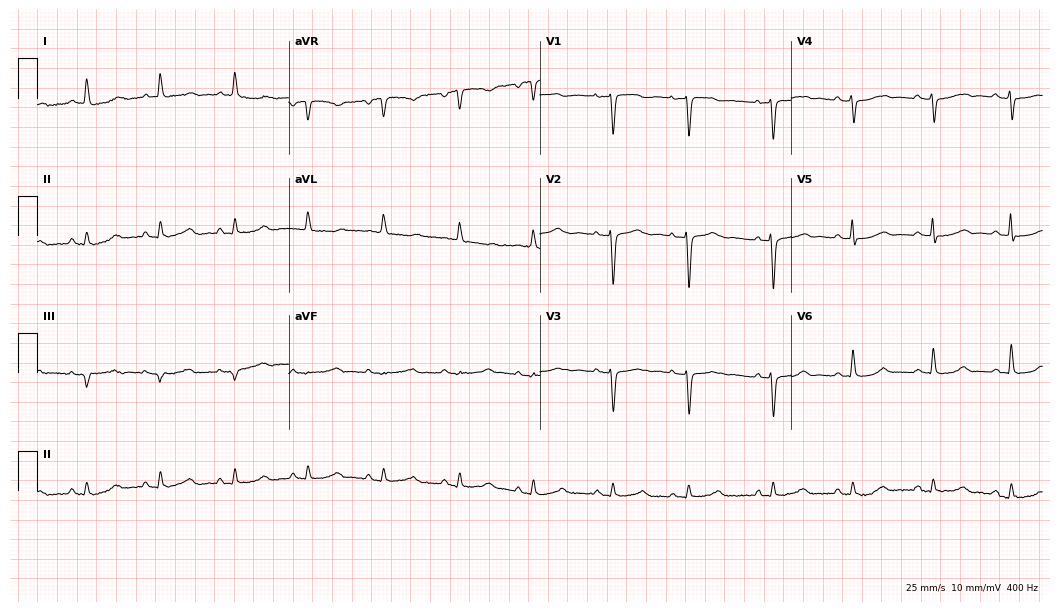
Standard 12-lead ECG recorded from a woman, 81 years old. None of these six findings is recorded: first-degree AV block, right bundle branch block (RBBB), left bundle branch block (LBBB), sinus bradycardia, atrial fibrillation (AF), sinus tachycardia.